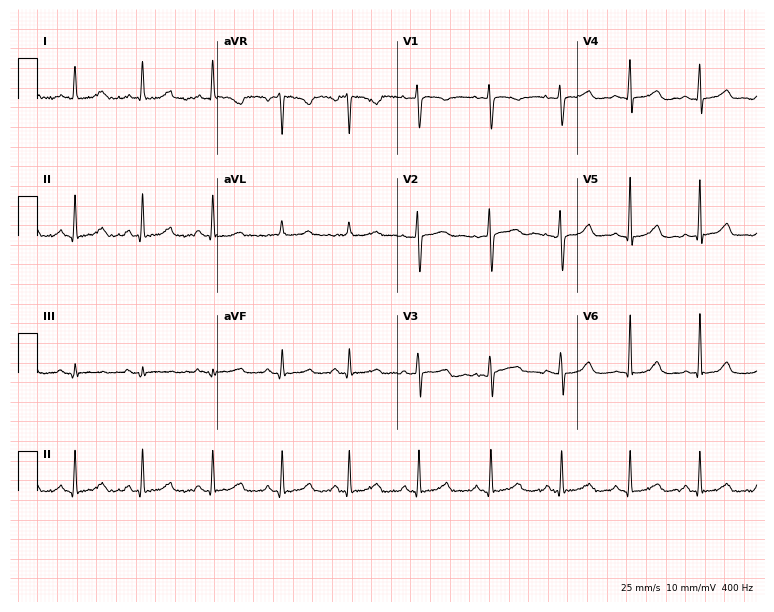
ECG — a 39-year-old female patient. Screened for six findings — first-degree AV block, right bundle branch block, left bundle branch block, sinus bradycardia, atrial fibrillation, sinus tachycardia — none is recorded. Findings outside these six are not listed.